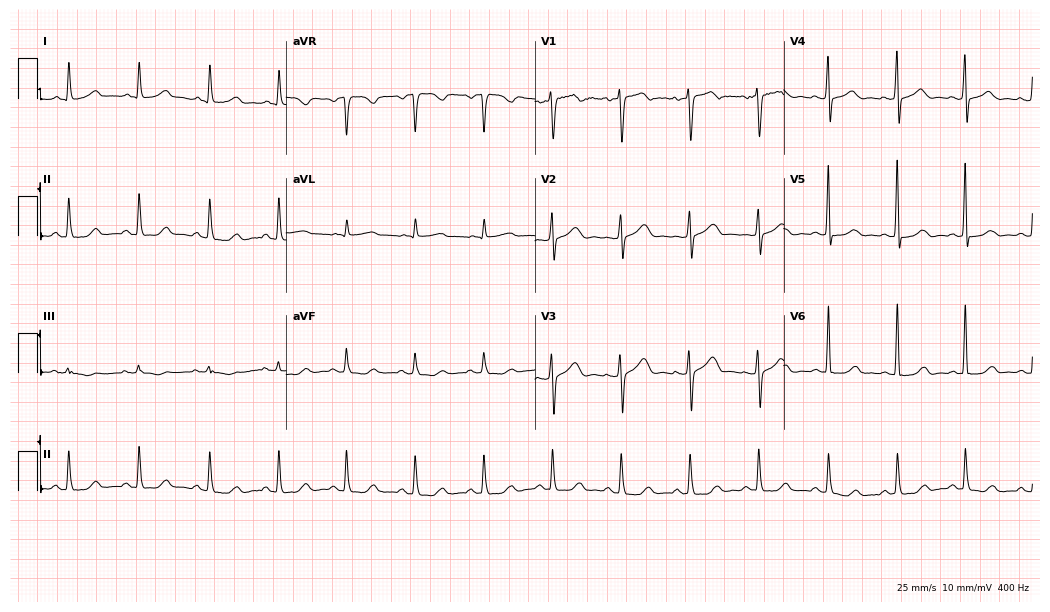
ECG (10.1-second recording at 400 Hz) — a female patient, 55 years old. Labelled as a normal ECG.